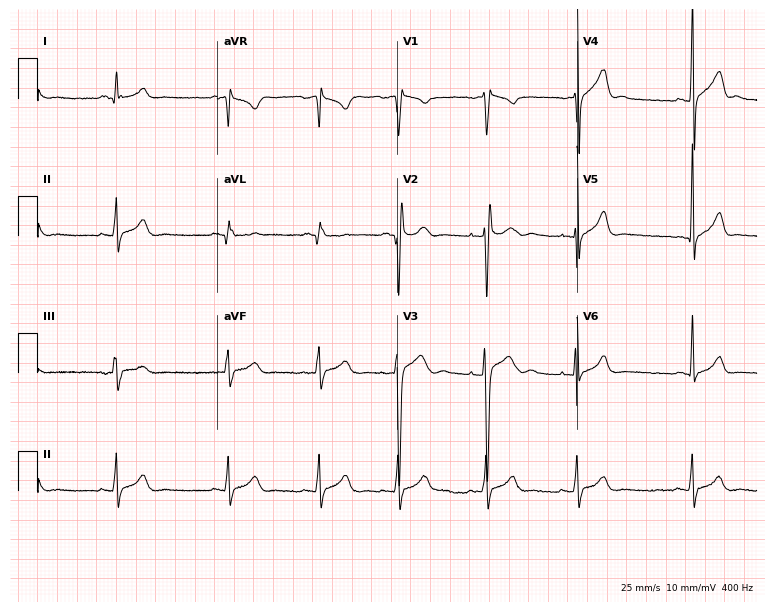
12-lead ECG from a man, 21 years old (7.3-second recording at 400 Hz). Recorded interpretation: within normal limits.